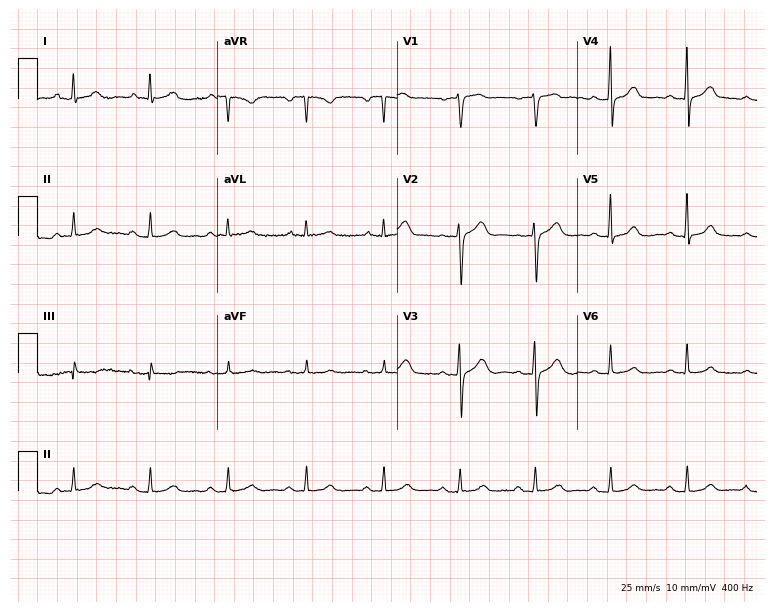
Standard 12-lead ECG recorded from a 44-year-old male (7.3-second recording at 400 Hz). None of these six findings is recorded: first-degree AV block, right bundle branch block (RBBB), left bundle branch block (LBBB), sinus bradycardia, atrial fibrillation (AF), sinus tachycardia. Only these six findings were labelled.